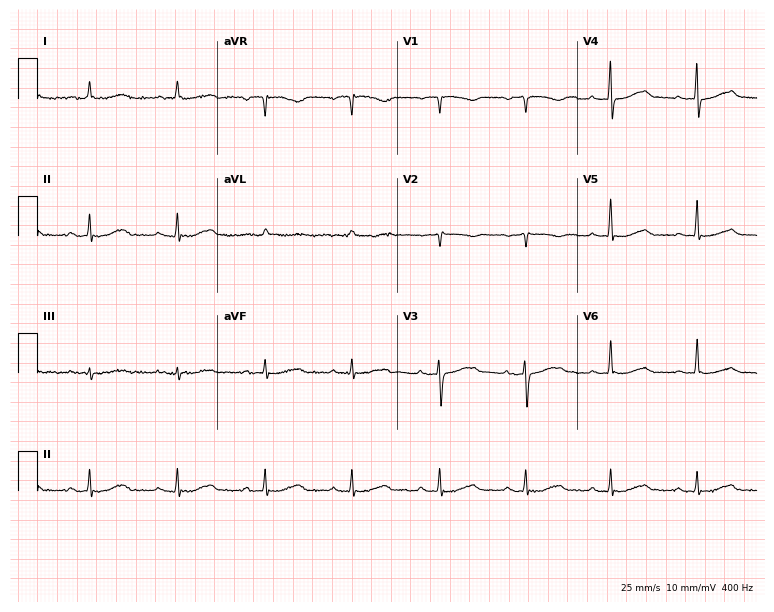
Electrocardiogram (7.3-second recording at 400 Hz), a 79-year-old woman. Of the six screened findings (first-degree AV block, right bundle branch block, left bundle branch block, sinus bradycardia, atrial fibrillation, sinus tachycardia), none is recorded.